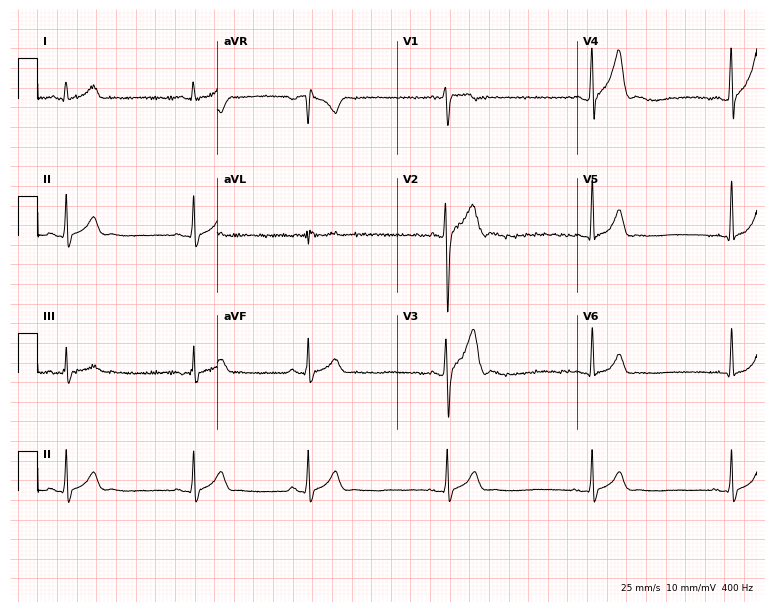
Electrocardiogram (7.3-second recording at 400 Hz), a male patient, 19 years old. Interpretation includes sinus bradycardia (a sinus rate of 50 beats per minute or less).